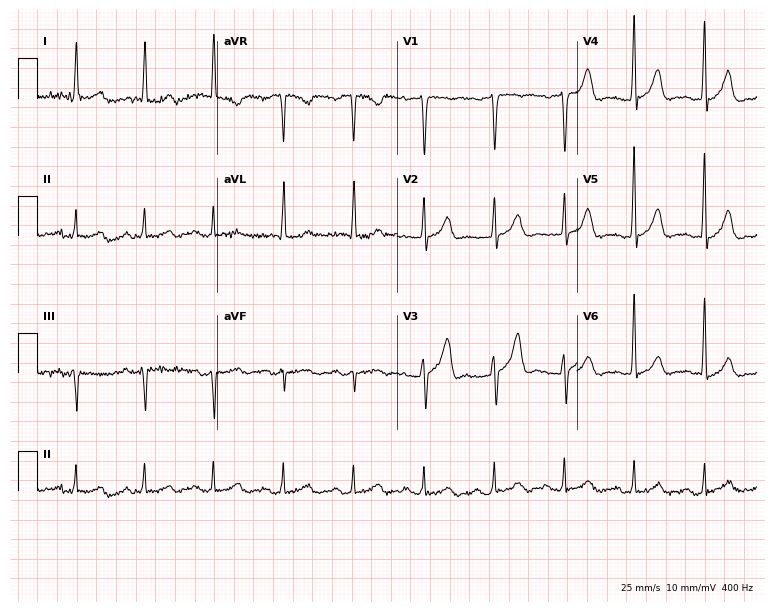
12-lead ECG from a 74-year-old male patient. Labelled as a normal ECG.